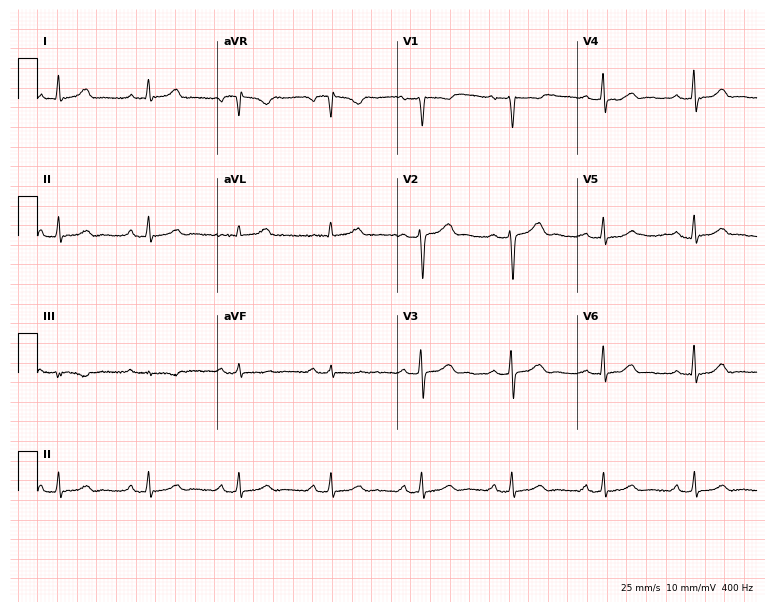
Electrocardiogram (7.3-second recording at 400 Hz), a 54-year-old female patient. Overall reading on record: normal ECG.